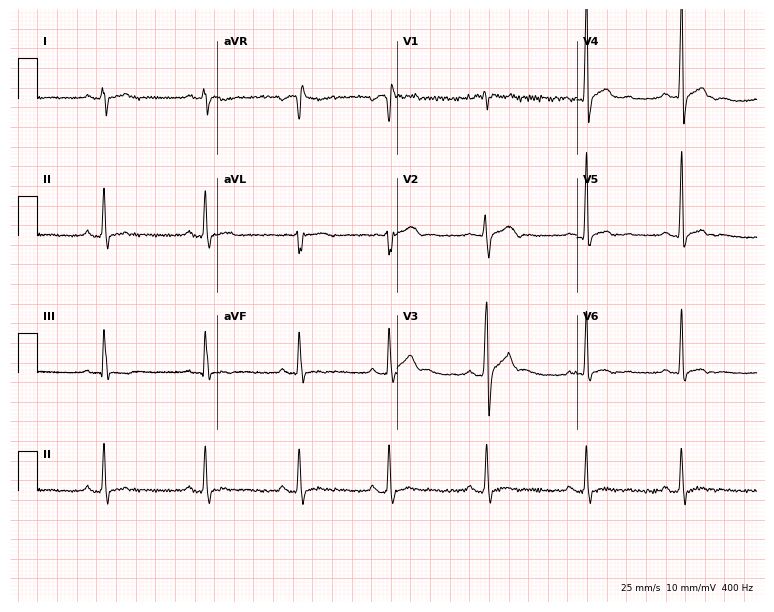
ECG (7.3-second recording at 400 Hz) — a 24-year-old male. Screened for six findings — first-degree AV block, right bundle branch block, left bundle branch block, sinus bradycardia, atrial fibrillation, sinus tachycardia — none is recorded. Findings outside these six are not listed.